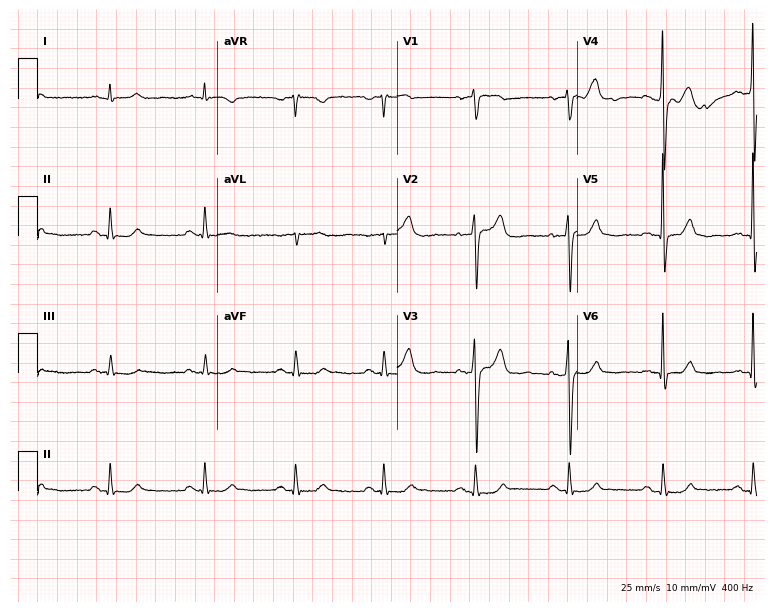
Electrocardiogram, a male patient, 57 years old. Overall reading on record: normal ECG.